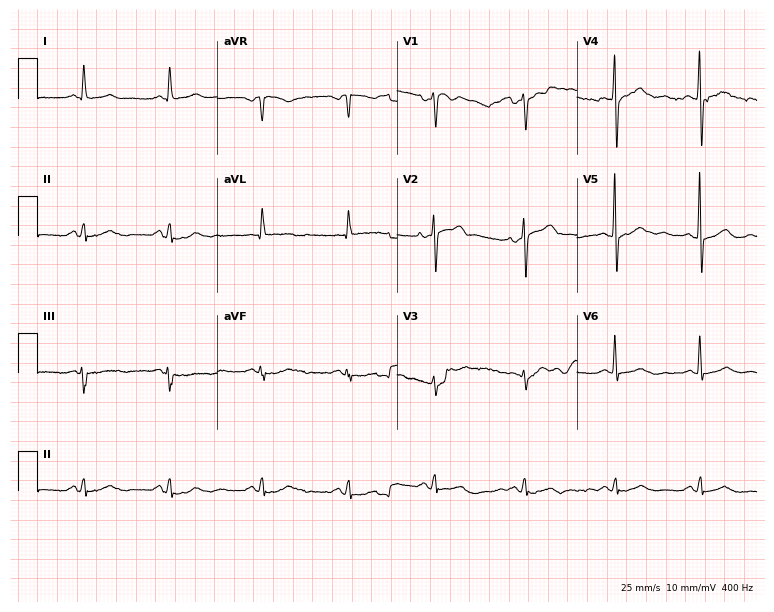
Standard 12-lead ECG recorded from a 55-year-old female patient (7.3-second recording at 400 Hz). None of these six findings is recorded: first-degree AV block, right bundle branch block, left bundle branch block, sinus bradycardia, atrial fibrillation, sinus tachycardia.